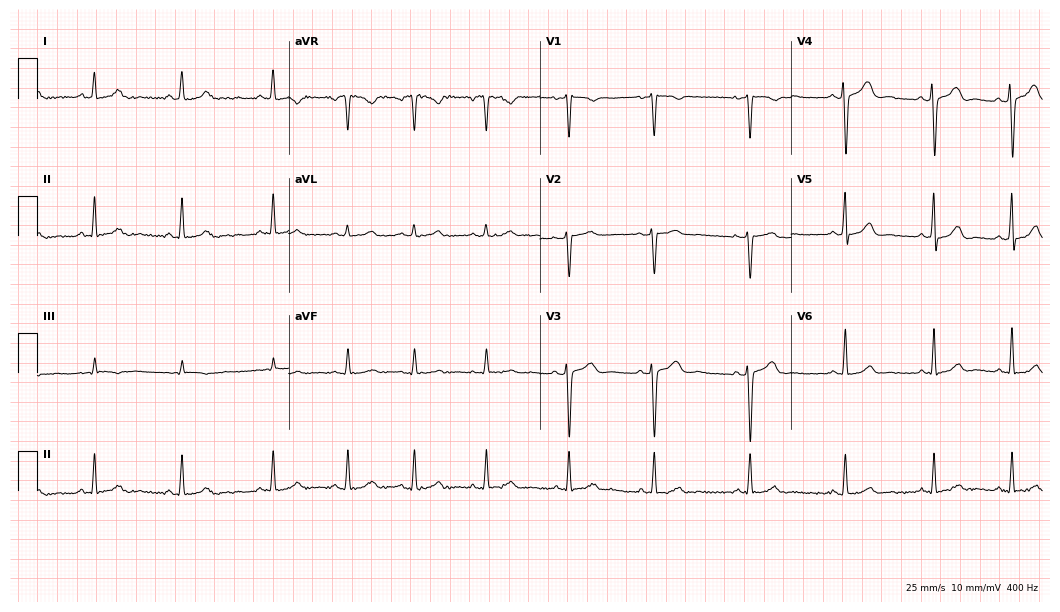
Electrocardiogram, a 30-year-old woman. Overall reading on record: normal ECG.